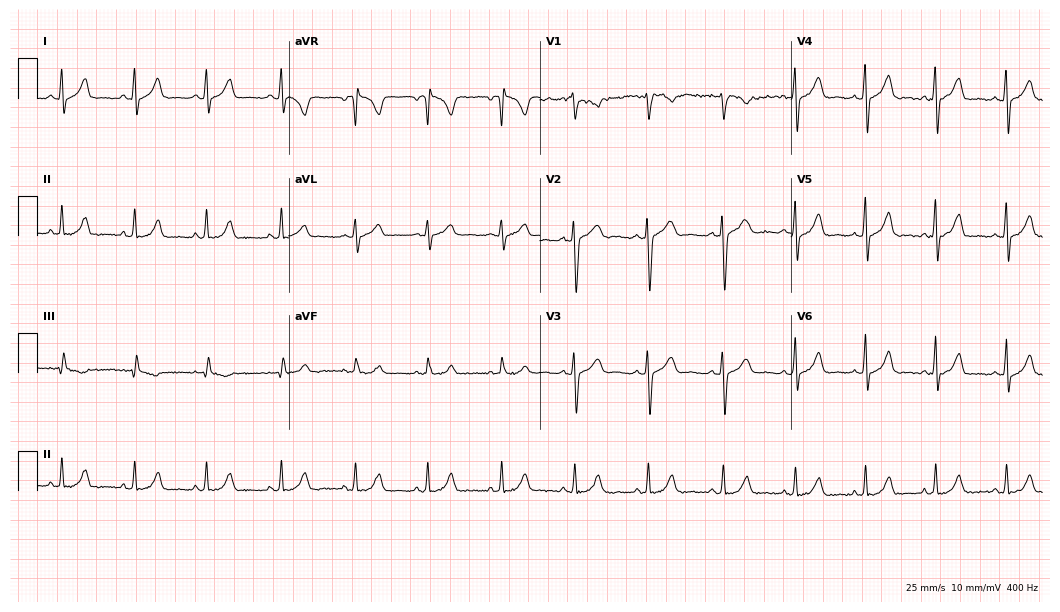
12-lead ECG from a 25-year-old female. Labelled as a normal ECG.